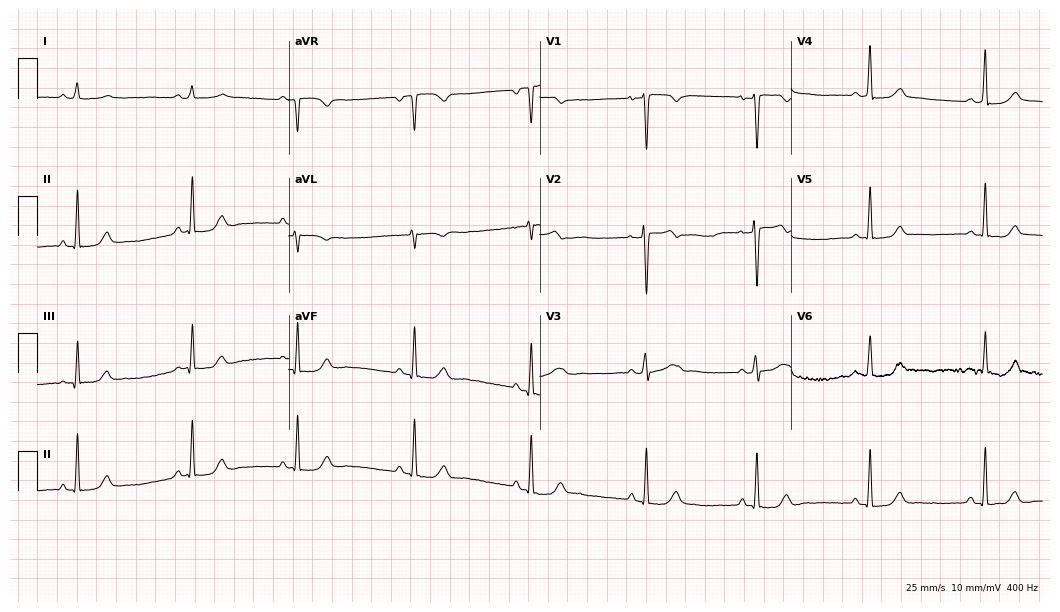
Electrocardiogram (10.2-second recording at 400 Hz), a 42-year-old woman. Of the six screened findings (first-degree AV block, right bundle branch block, left bundle branch block, sinus bradycardia, atrial fibrillation, sinus tachycardia), none is recorded.